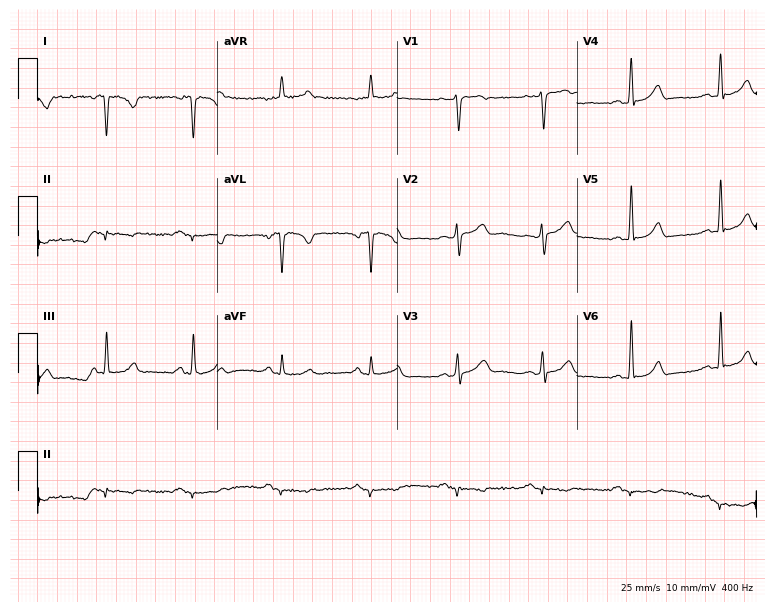
12-lead ECG from a female, 45 years old. Screened for six findings — first-degree AV block, right bundle branch block, left bundle branch block, sinus bradycardia, atrial fibrillation, sinus tachycardia — none is recorded.